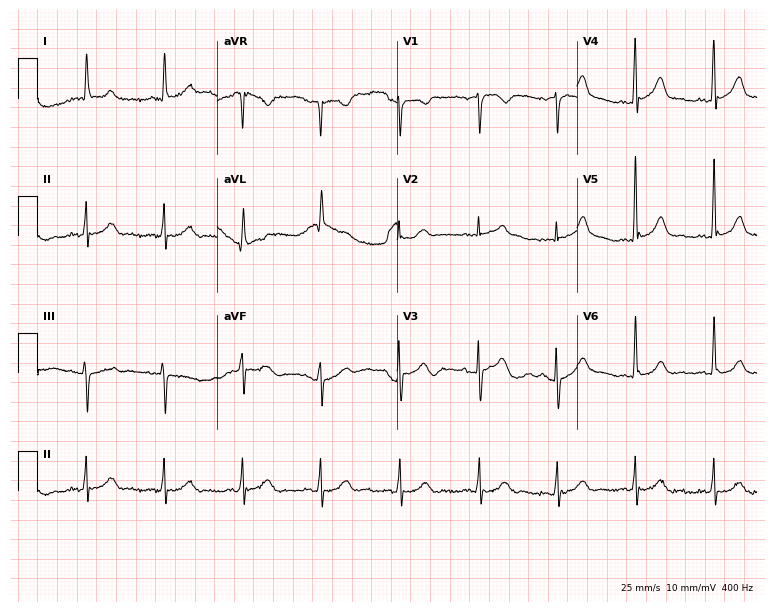
Resting 12-lead electrocardiogram (7.3-second recording at 400 Hz). Patient: a male, 80 years old. None of these six findings is recorded: first-degree AV block, right bundle branch block, left bundle branch block, sinus bradycardia, atrial fibrillation, sinus tachycardia. Findings outside these six are not listed.